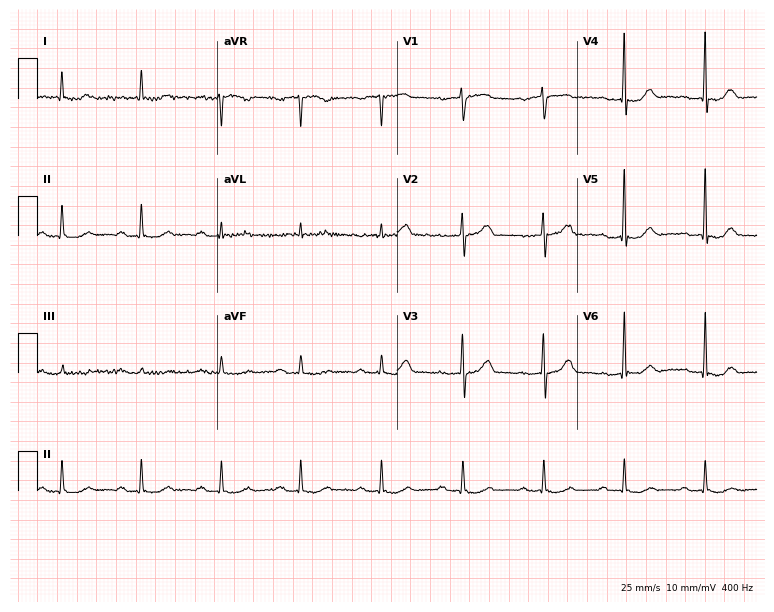
12-lead ECG from a male, 75 years old (7.3-second recording at 400 Hz). Recorded interpretation: within normal limits.